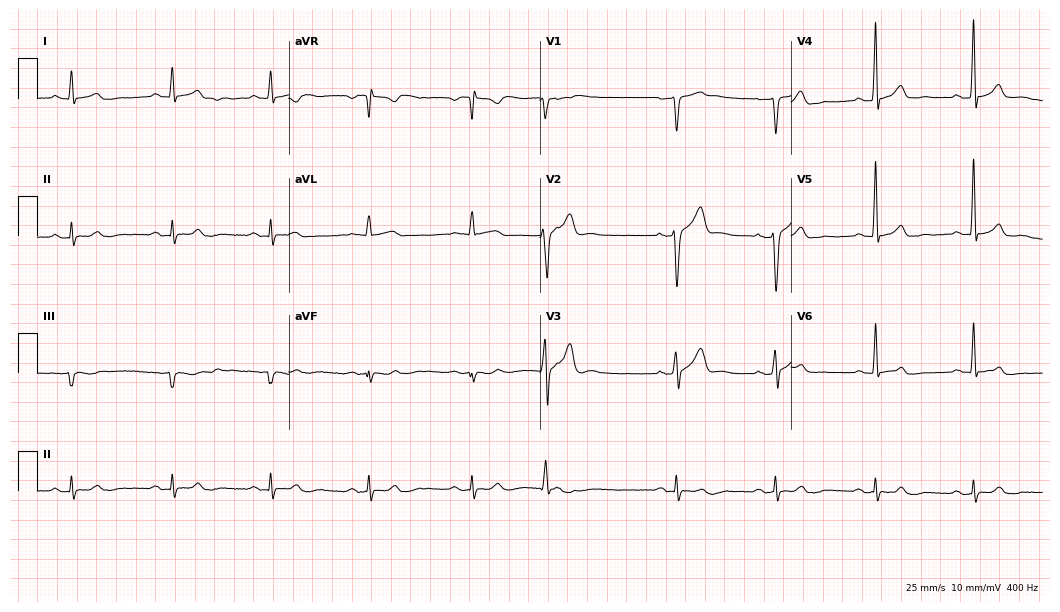
Standard 12-lead ECG recorded from a male patient, 36 years old (10.2-second recording at 400 Hz). Read as a normal ECG.